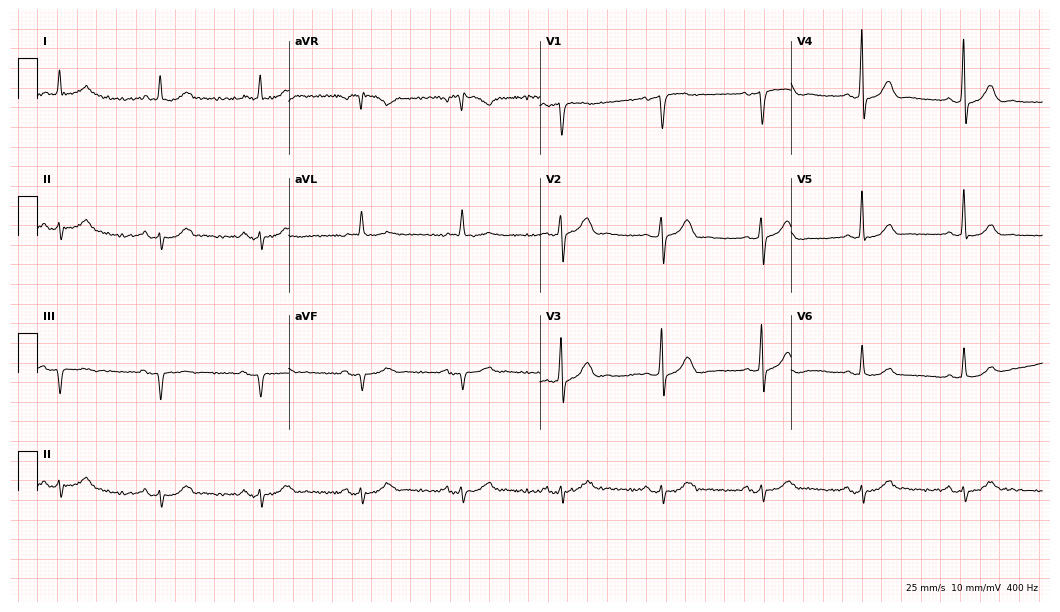
ECG (10.2-second recording at 400 Hz) — a 70-year-old male. Screened for six findings — first-degree AV block, right bundle branch block, left bundle branch block, sinus bradycardia, atrial fibrillation, sinus tachycardia — none is recorded.